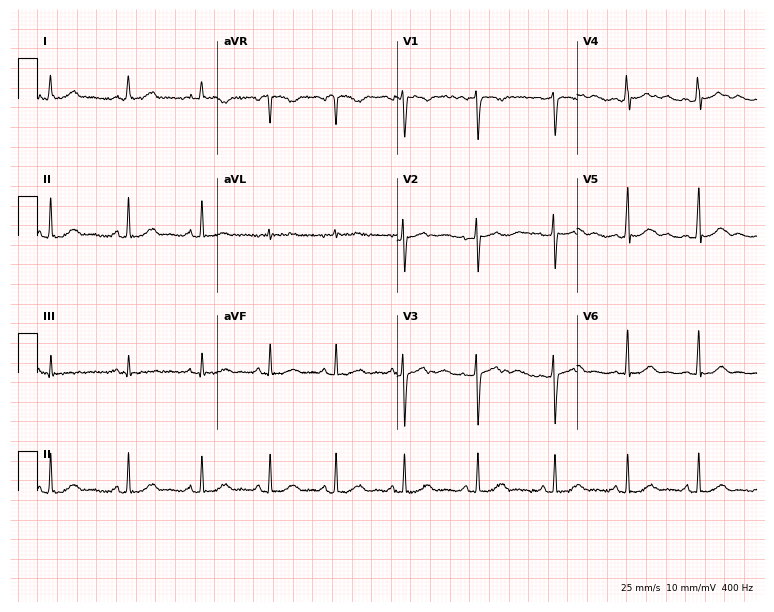
ECG (7.3-second recording at 400 Hz) — a female patient, 31 years old. Labelled as a normal ECG.